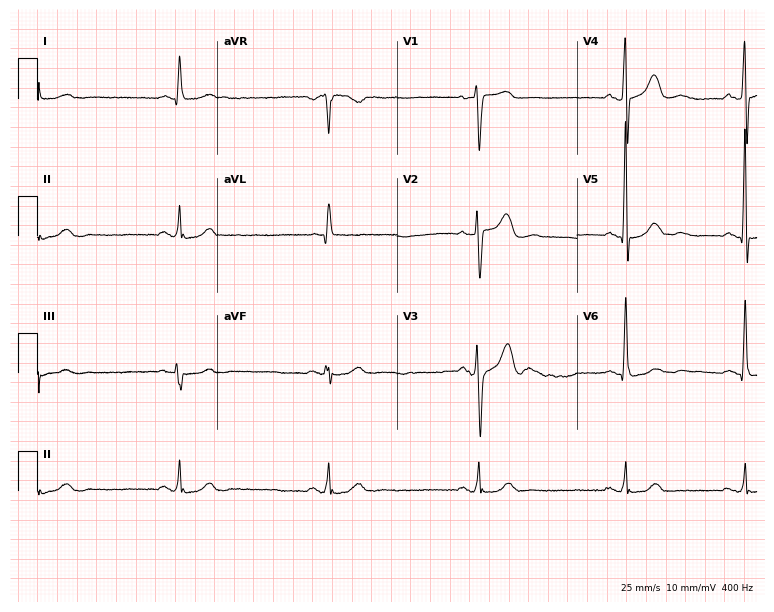
ECG — a 72-year-old man. Findings include sinus bradycardia (a sinus rate of 50 beats per minute or less).